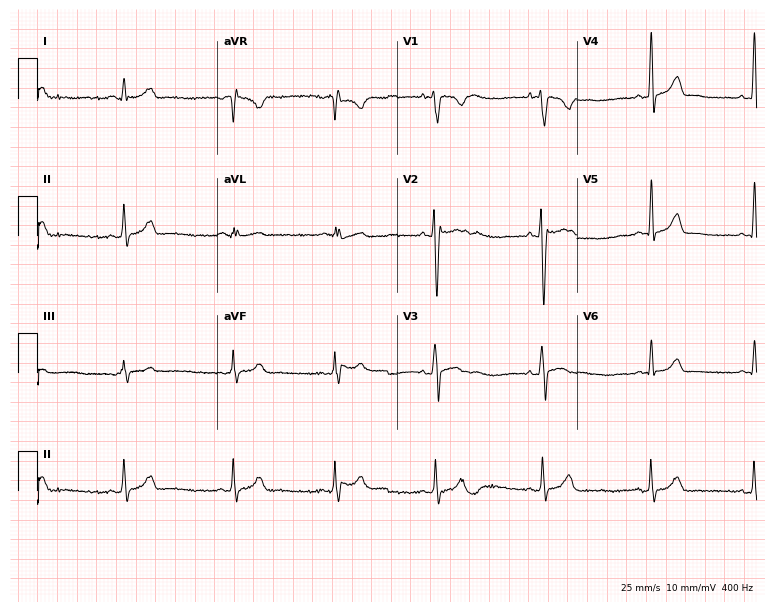
Electrocardiogram, a man, 22 years old. Of the six screened findings (first-degree AV block, right bundle branch block (RBBB), left bundle branch block (LBBB), sinus bradycardia, atrial fibrillation (AF), sinus tachycardia), none is recorded. Other findings, if any, are not listed.